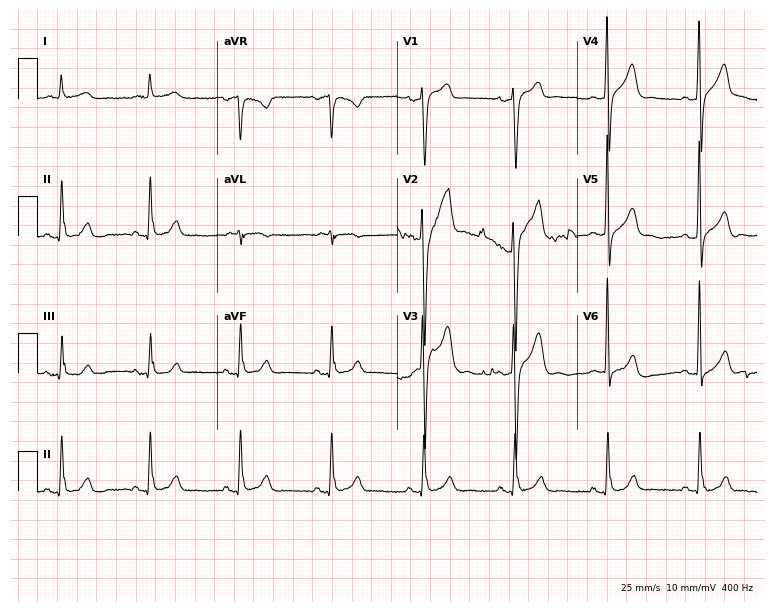
12-lead ECG from a 66-year-old man. No first-degree AV block, right bundle branch block (RBBB), left bundle branch block (LBBB), sinus bradycardia, atrial fibrillation (AF) or sinus tachycardia recorded for this tracing. Only these six findings were labelled.